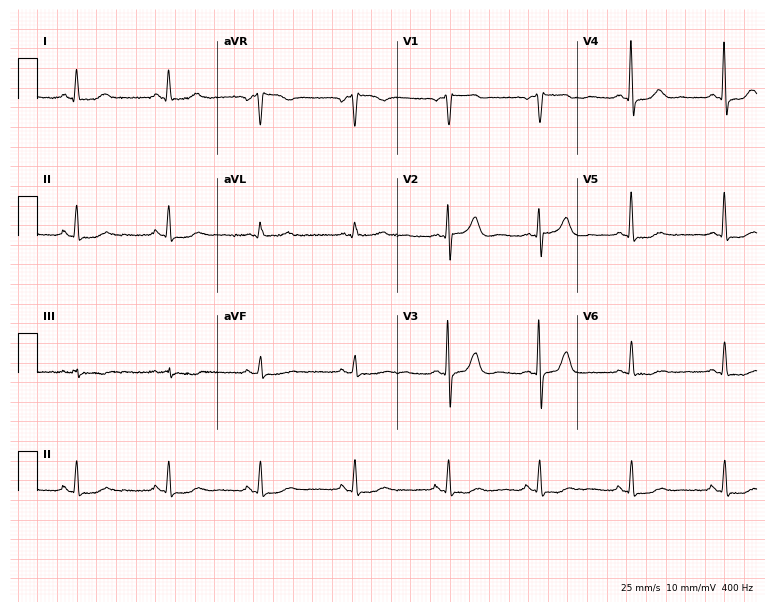
ECG (7.3-second recording at 400 Hz) — a male, 75 years old. Labelled as a normal ECG.